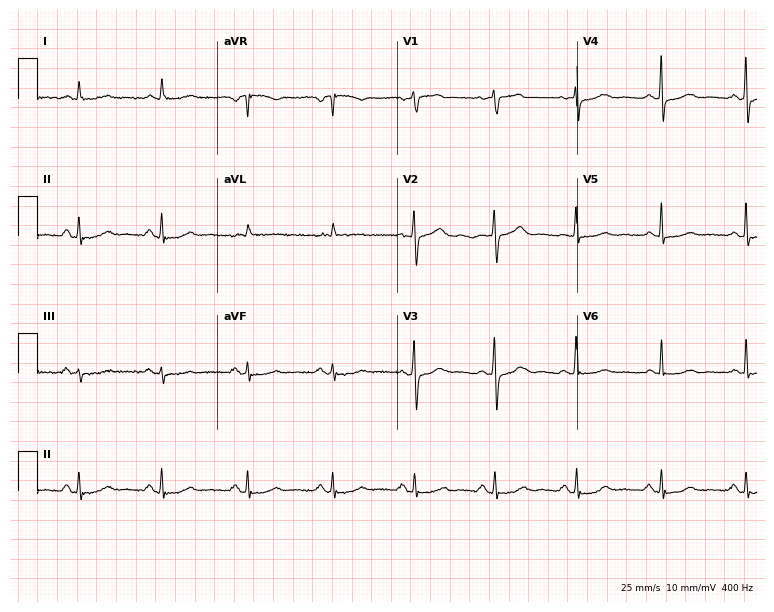
12-lead ECG from a female, 62 years old (7.3-second recording at 400 Hz). No first-degree AV block, right bundle branch block (RBBB), left bundle branch block (LBBB), sinus bradycardia, atrial fibrillation (AF) or sinus tachycardia recorded for this tracing.